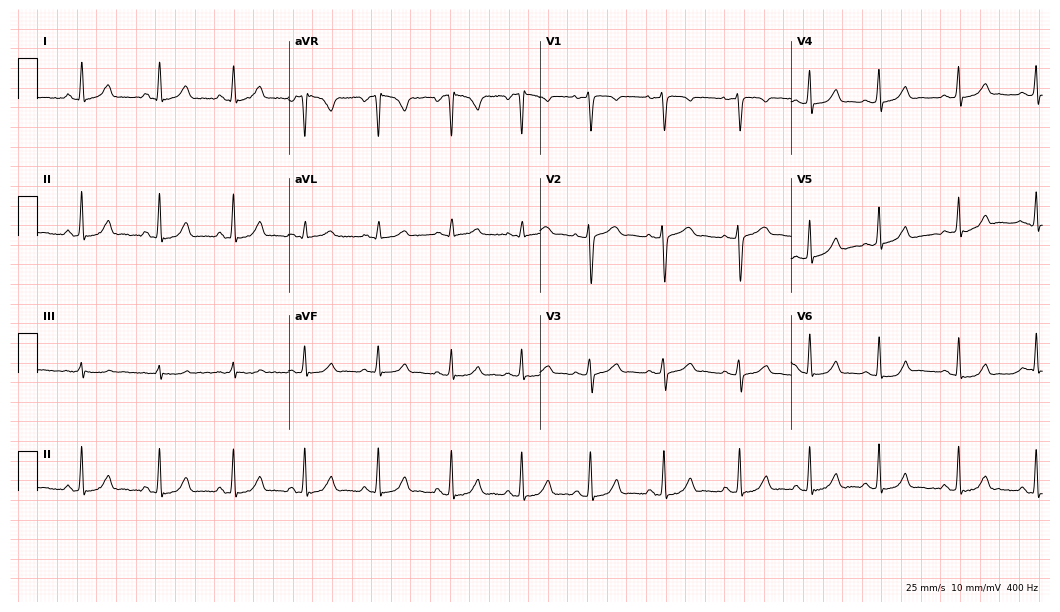
ECG — a woman, 23 years old. Labelled as a normal ECG.